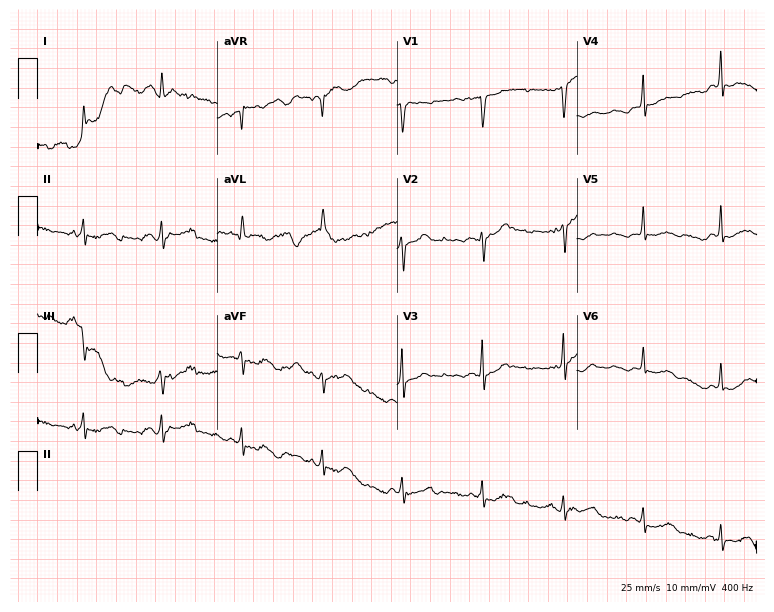
ECG — a female patient, 71 years old. Screened for six findings — first-degree AV block, right bundle branch block, left bundle branch block, sinus bradycardia, atrial fibrillation, sinus tachycardia — none is recorded.